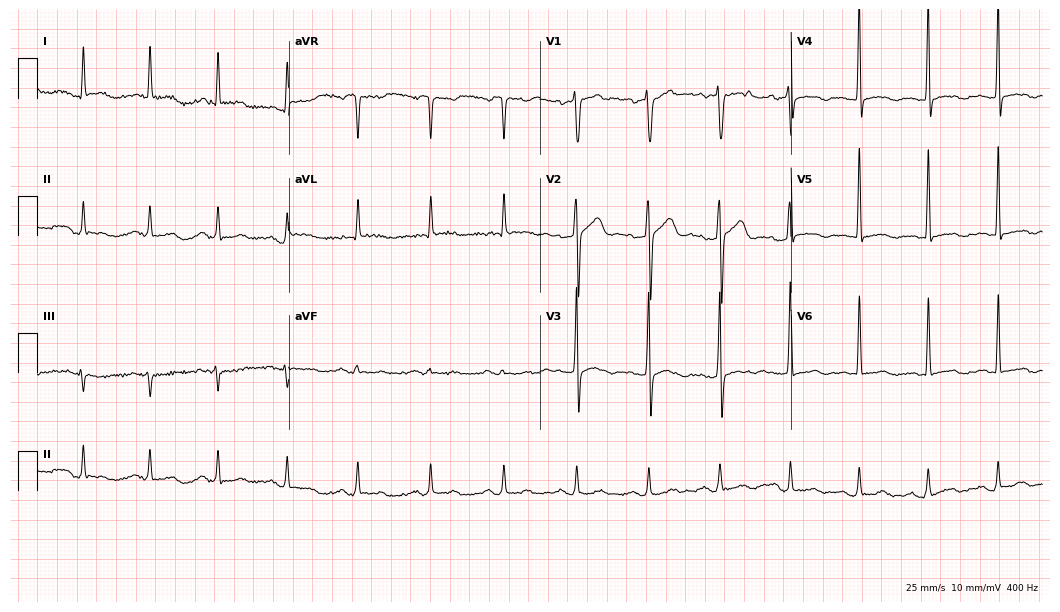
12-lead ECG (10.2-second recording at 400 Hz) from a 71-year-old man. Screened for six findings — first-degree AV block, right bundle branch block, left bundle branch block, sinus bradycardia, atrial fibrillation, sinus tachycardia — none is recorded.